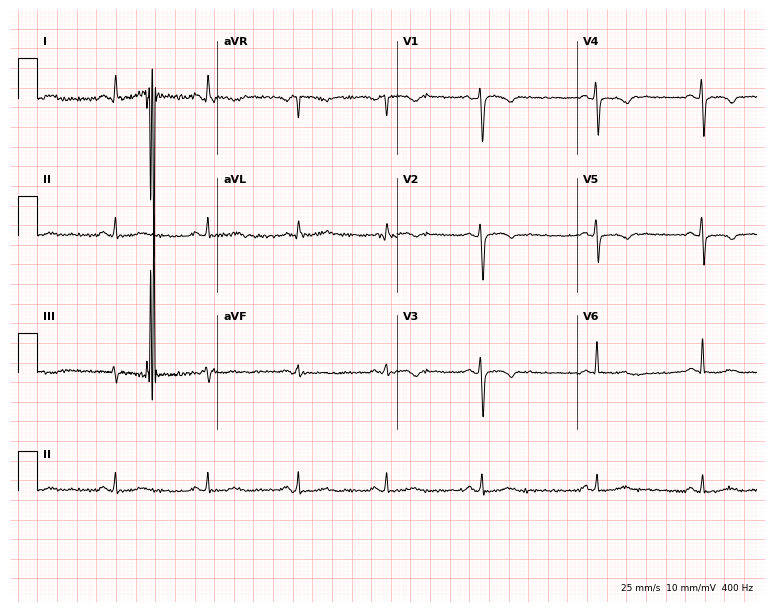
ECG — a woman, 40 years old. Screened for six findings — first-degree AV block, right bundle branch block, left bundle branch block, sinus bradycardia, atrial fibrillation, sinus tachycardia — none is recorded. Only these six findings were labelled.